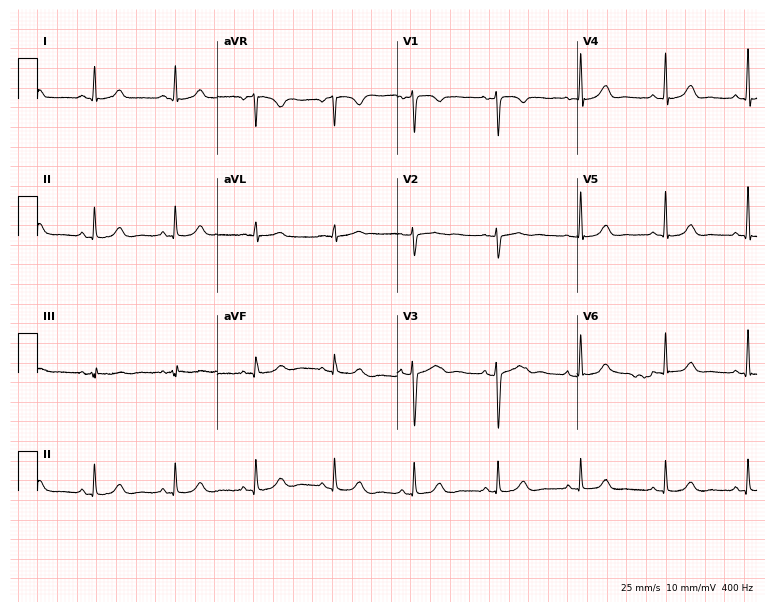
ECG (7.3-second recording at 400 Hz) — a female patient, 46 years old. Labelled as a normal ECG.